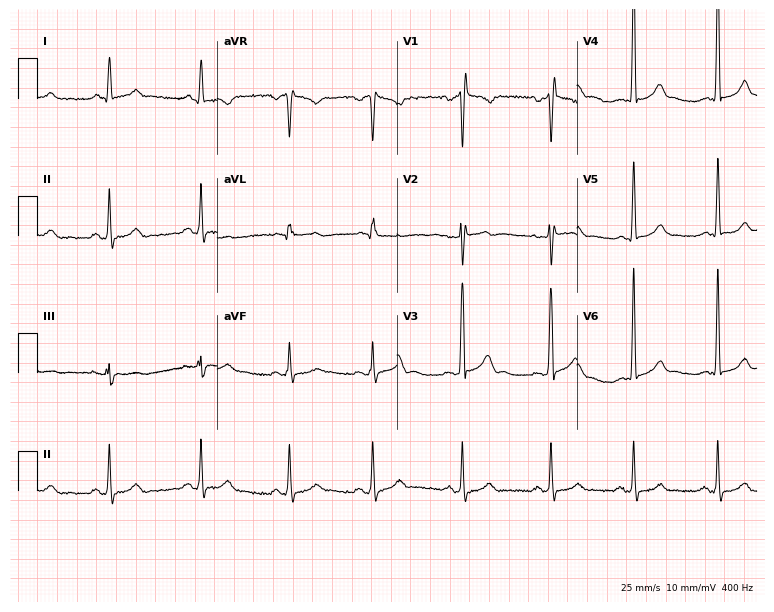
Standard 12-lead ECG recorded from a male, 58 years old. None of these six findings is recorded: first-degree AV block, right bundle branch block, left bundle branch block, sinus bradycardia, atrial fibrillation, sinus tachycardia. Only these six findings were labelled.